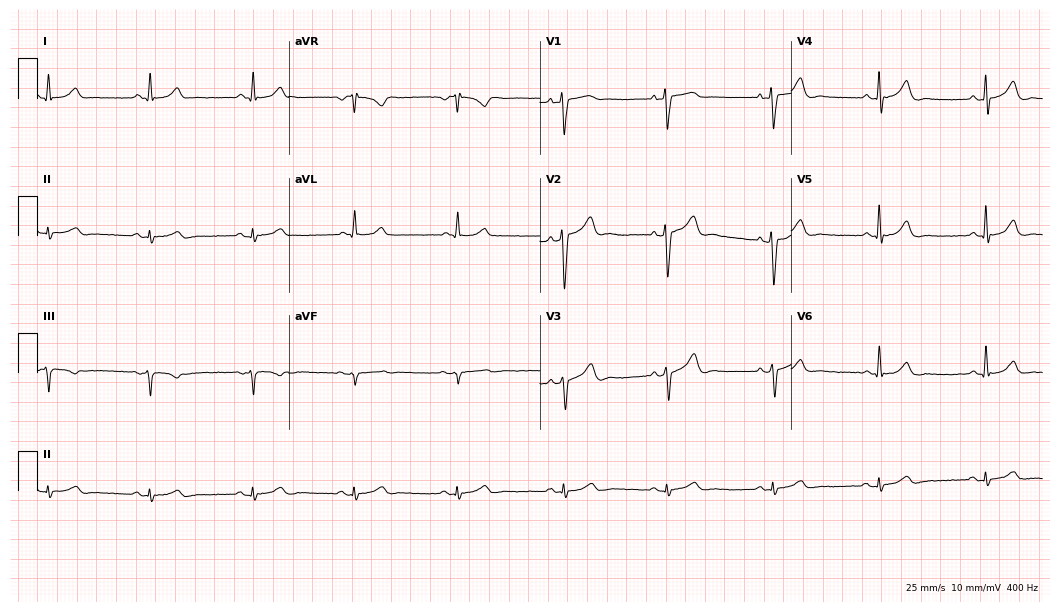
12-lead ECG from a 53-year-old male patient. No first-degree AV block, right bundle branch block (RBBB), left bundle branch block (LBBB), sinus bradycardia, atrial fibrillation (AF) or sinus tachycardia recorded for this tracing.